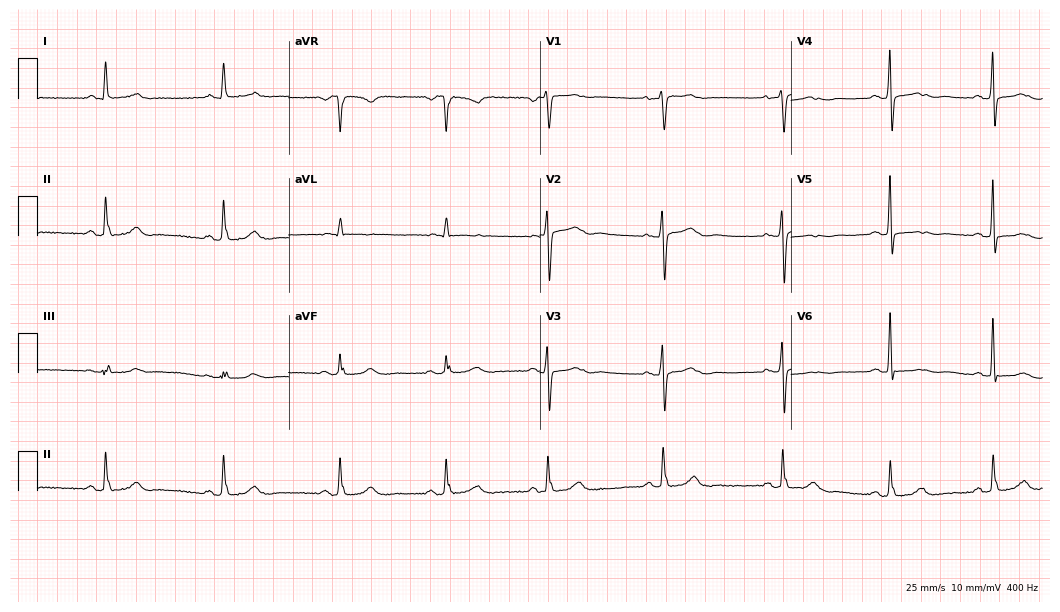
Standard 12-lead ECG recorded from a female patient, 77 years old. Read as a normal ECG.